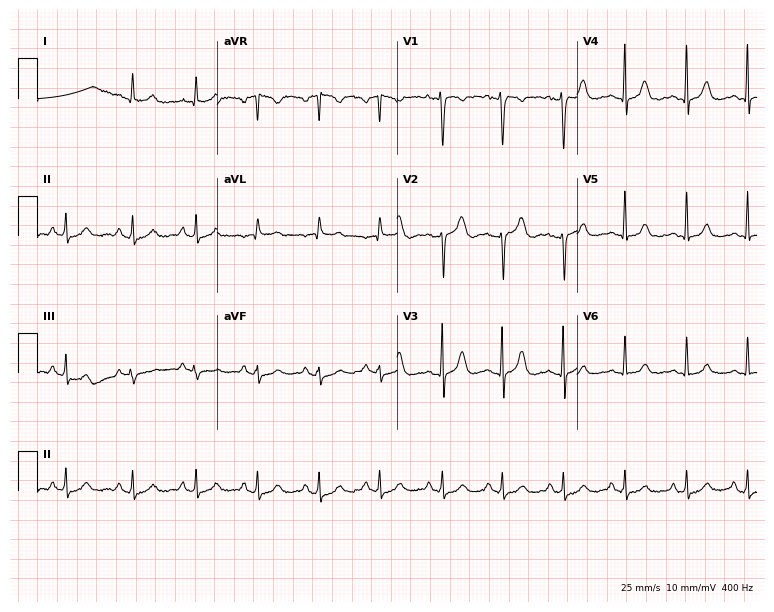
Standard 12-lead ECG recorded from a 40-year-old female (7.3-second recording at 400 Hz). Read as a normal ECG.